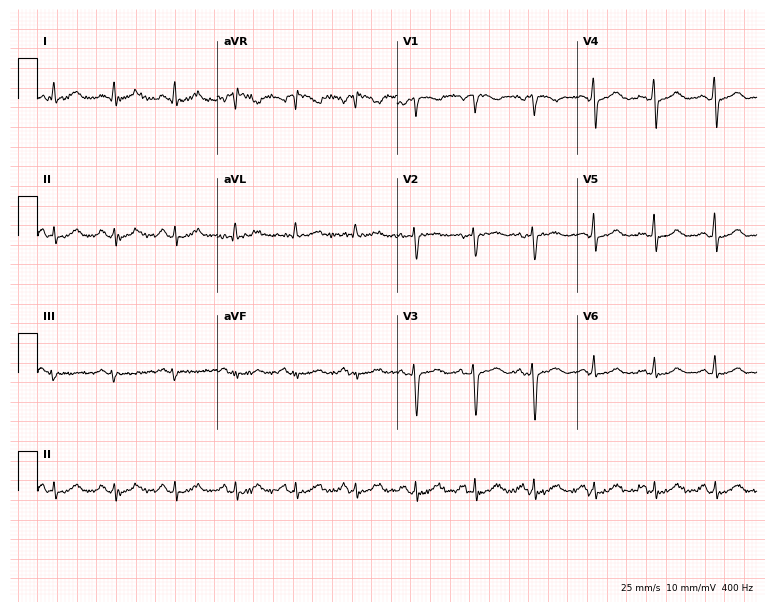
Resting 12-lead electrocardiogram (7.3-second recording at 400 Hz). Patient: a 73-year-old female. Read as a normal ECG.